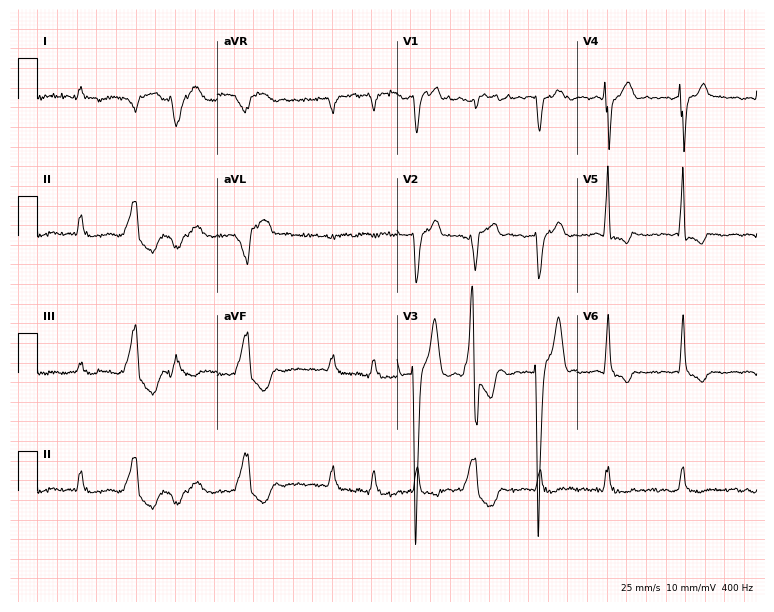
12-lead ECG from a 75-year-old male patient. Shows atrial fibrillation.